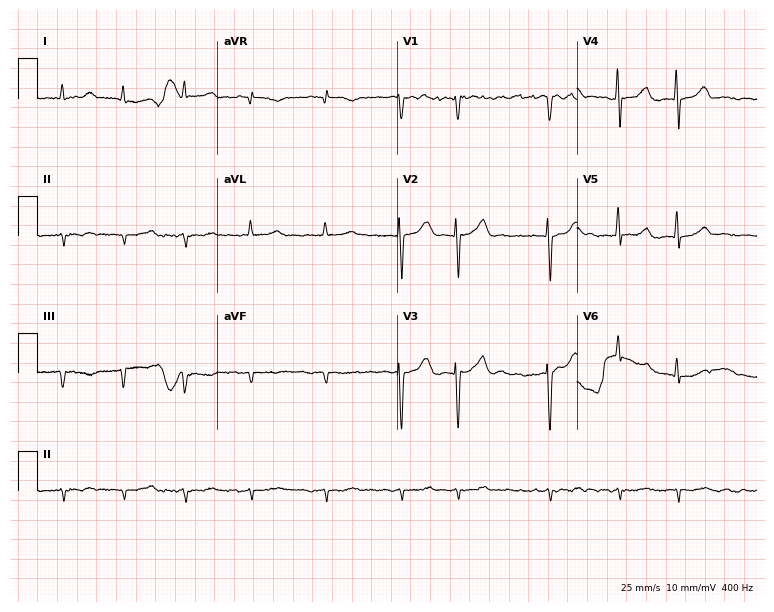
12-lead ECG from an 82-year-old male patient (7.3-second recording at 400 Hz). Shows atrial fibrillation (AF).